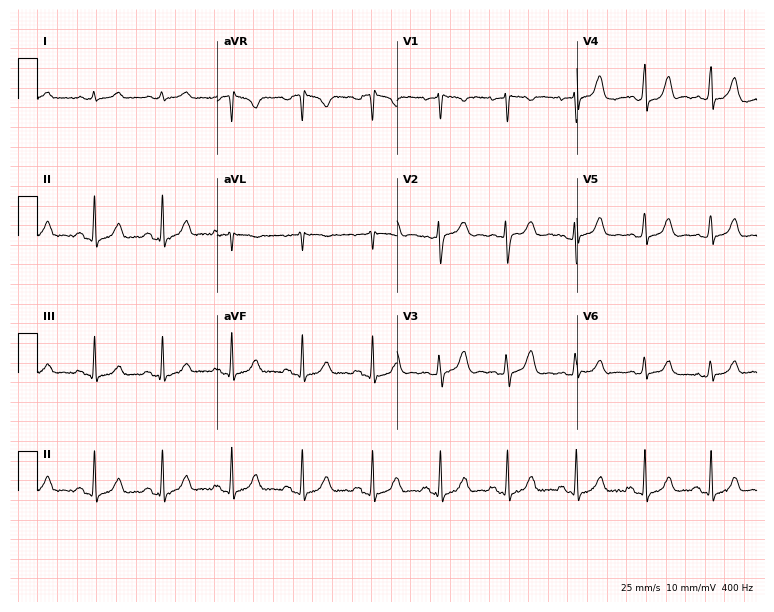
Standard 12-lead ECG recorded from a female patient, 44 years old. Read as a normal ECG.